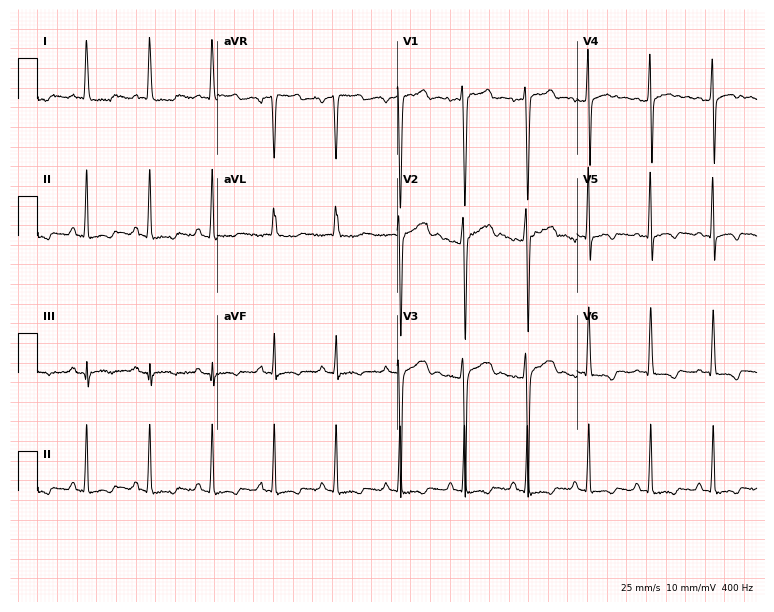
Electrocardiogram, a 35-year-old female. Of the six screened findings (first-degree AV block, right bundle branch block, left bundle branch block, sinus bradycardia, atrial fibrillation, sinus tachycardia), none is recorded.